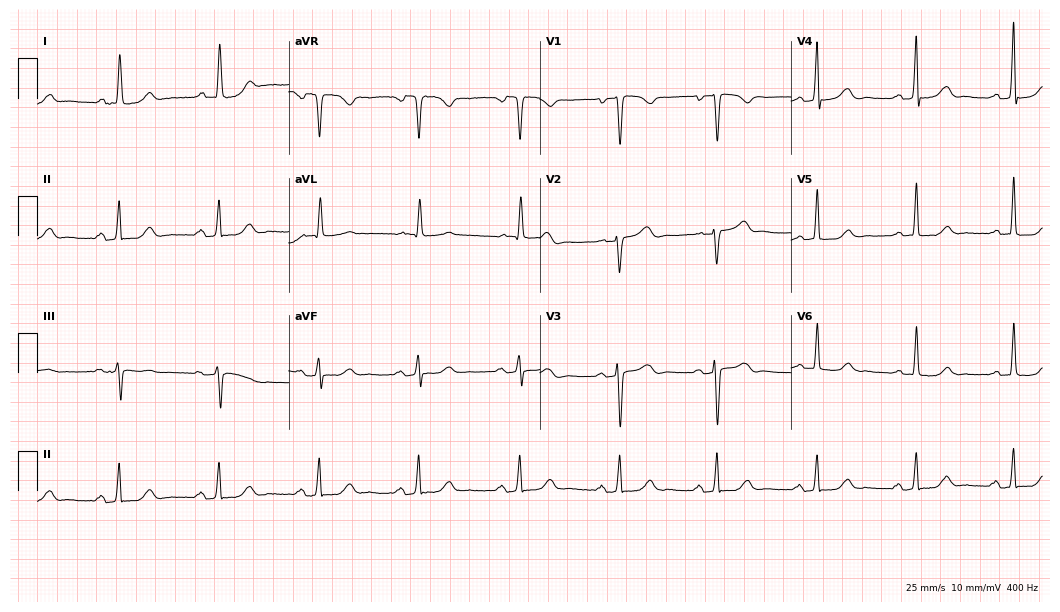
Electrocardiogram, a female, 72 years old. Overall reading on record: normal ECG.